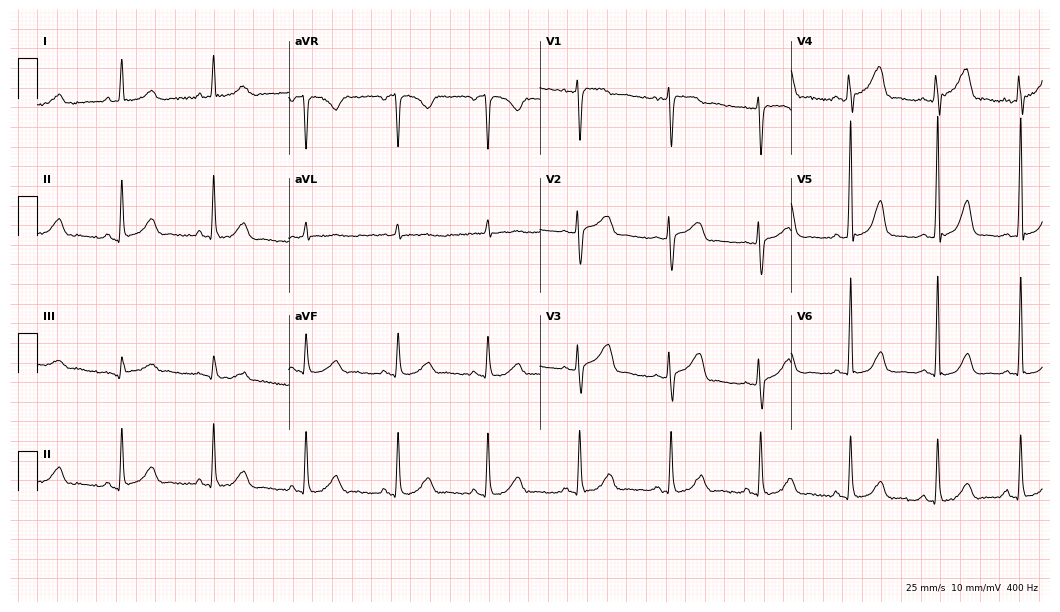
12-lead ECG from a 58-year-old female patient (10.2-second recording at 400 Hz). No first-degree AV block, right bundle branch block (RBBB), left bundle branch block (LBBB), sinus bradycardia, atrial fibrillation (AF) or sinus tachycardia recorded for this tracing.